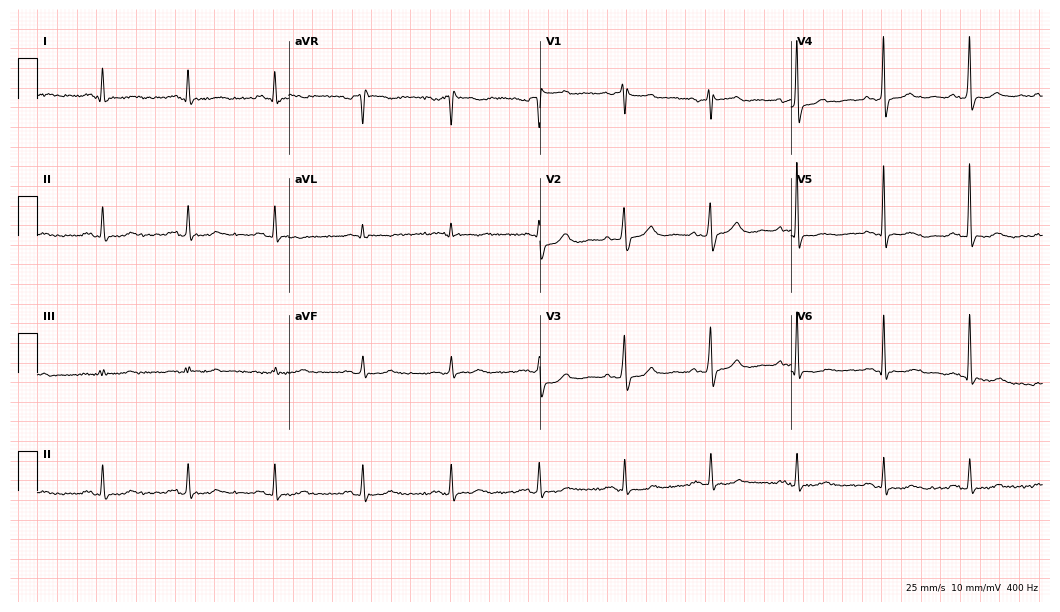
Electrocardiogram (10.2-second recording at 400 Hz), a 72-year-old man. Of the six screened findings (first-degree AV block, right bundle branch block (RBBB), left bundle branch block (LBBB), sinus bradycardia, atrial fibrillation (AF), sinus tachycardia), none is recorded. Findings outside these six are not listed.